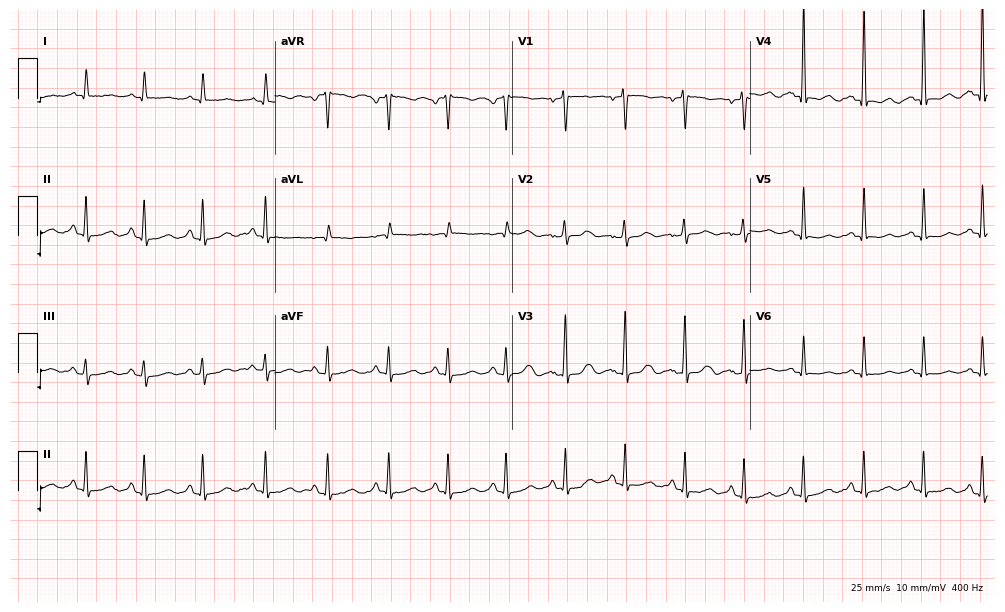
ECG — a 49-year-old female patient. Screened for six findings — first-degree AV block, right bundle branch block (RBBB), left bundle branch block (LBBB), sinus bradycardia, atrial fibrillation (AF), sinus tachycardia — none is recorded. Other findings, if any, are not listed.